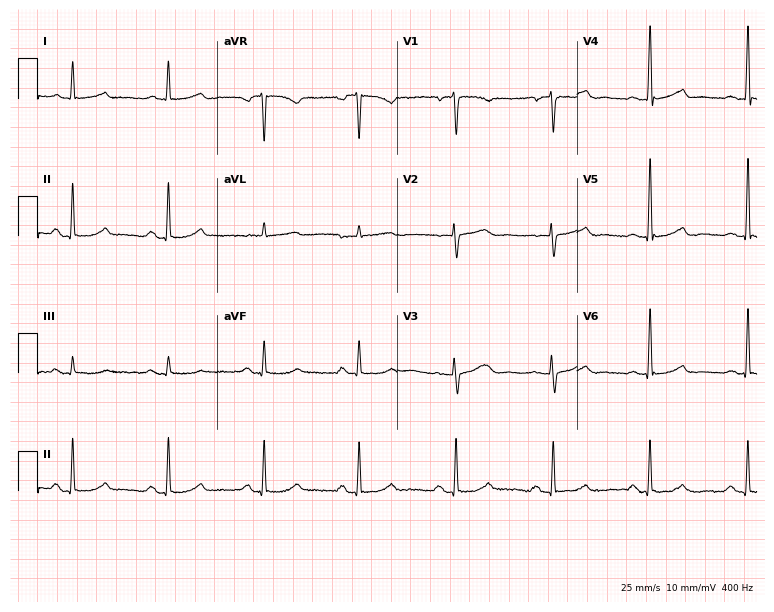
Electrocardiogram, a female patient, 57 years old. Overall reading on record: normal ECG.